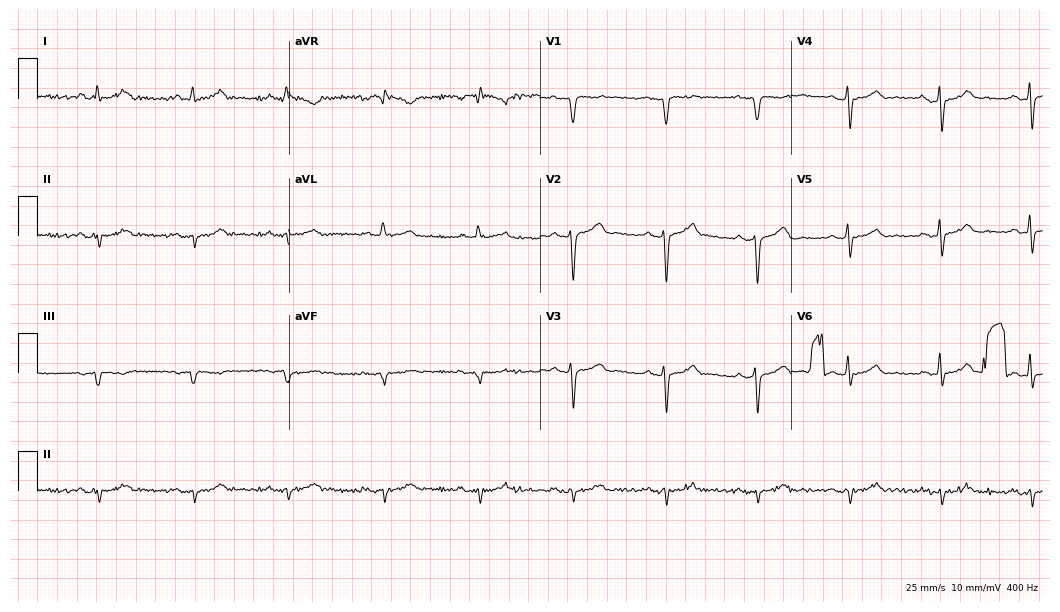
ECG — a 58-year-old male. Screened for six findings — first-degree AV block, right bundle branch block, left bundle branch block, sinus bradycardia, atrial fibrillation, sinus tachycardia — none is recorded.